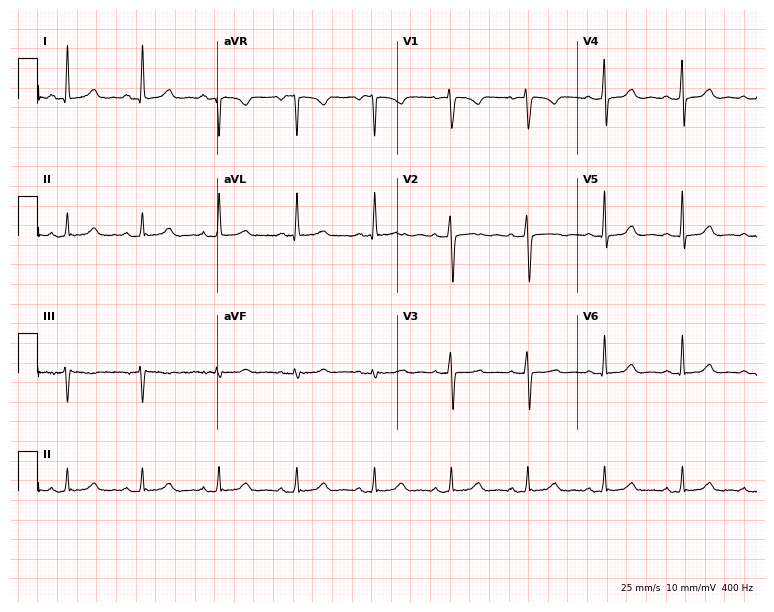
12-lead ECG from a 50-year-old female. No first-degree AV block, right bundle branch block, left bundle branch block, sinus bradycardia, atrial fibrillation or sinus tachycardia recorded for this tracing.